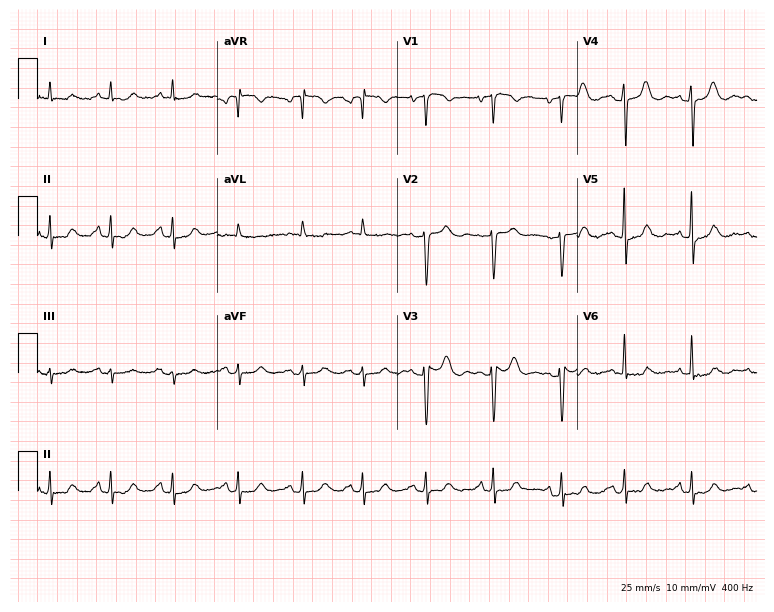
12-lead ECG from a woman, 83 years old (7.3-second recording at 400 Hz). No first-degree AV block, right bundle branch block (RBBB), left bundle branch block (LBBB), sinus bradycardia, atrial fibrillation (AF) or sinus tachycardia recorded for this tracing.